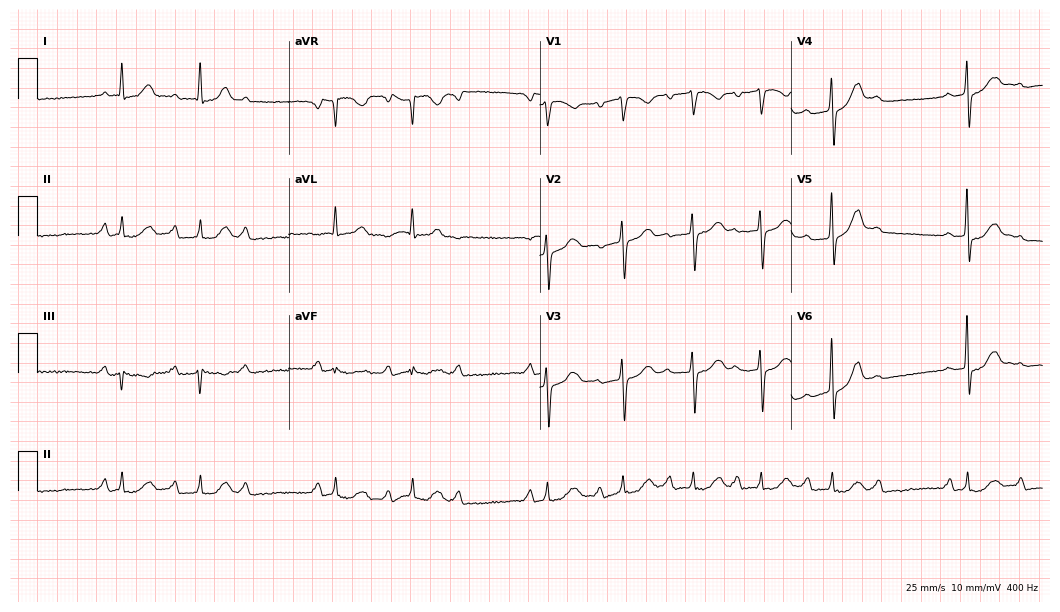
12-lead ECG from a woman, 60 years old. Findings include first-degree AV block.